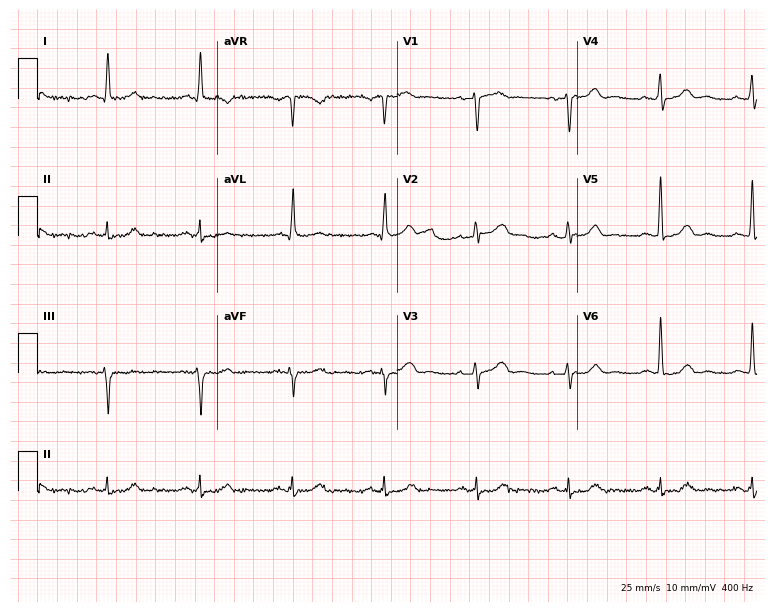
12-lead ECG (7.3-second recording at 400 Hz) from an 80-year-old male. Screened for six findings — first-degree AV block, right bundle branch block, left bundle branch block, sinus bradycardia, atrial fibrillation, sinus tachycardia — none is recorded.